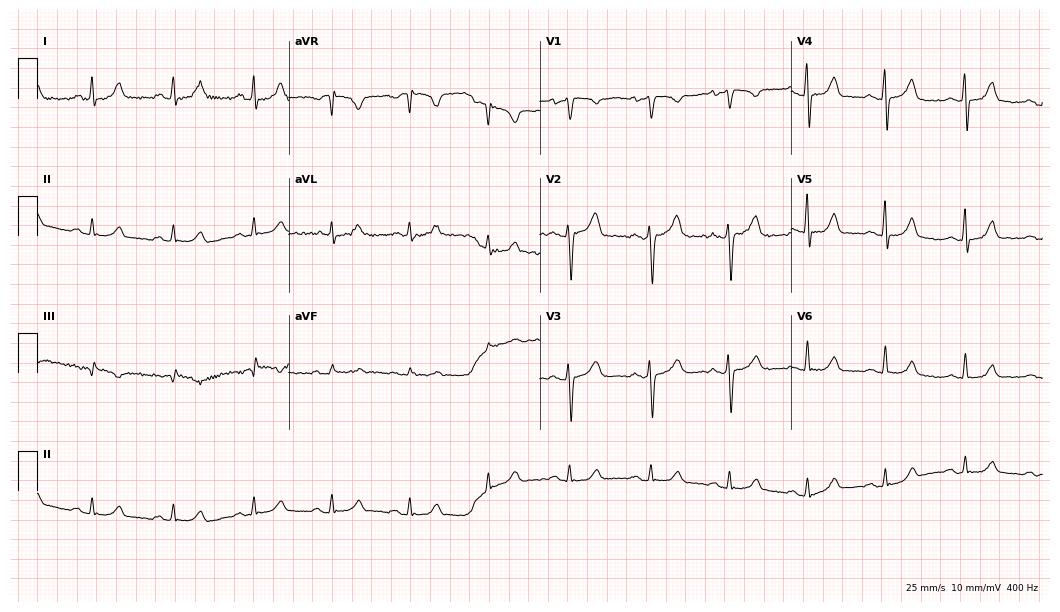
Standard 12-lead ECG recorded from a woman, 48 years old (10.2-second recording at 400 Hz). Read as a normal ECG.